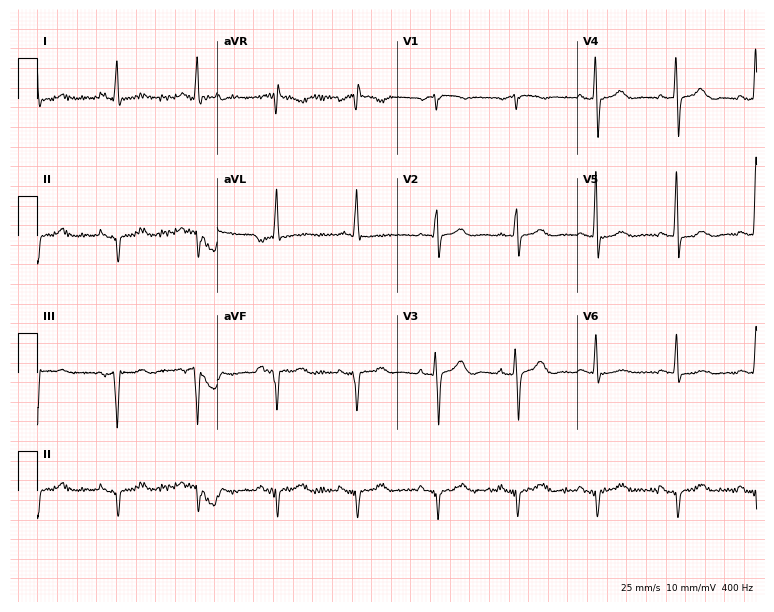
ECG (7.3-second recording at 400 Hz) — a man, 82 years old. Screened for six findings — first-degree AV block, right bundle branch block (RBBB), left bundle branch block (LBBB), sinus bradycardia, atrial fibrillation (AF), sinus tachycardia — none is recorded. Findings outside these six are not listed.